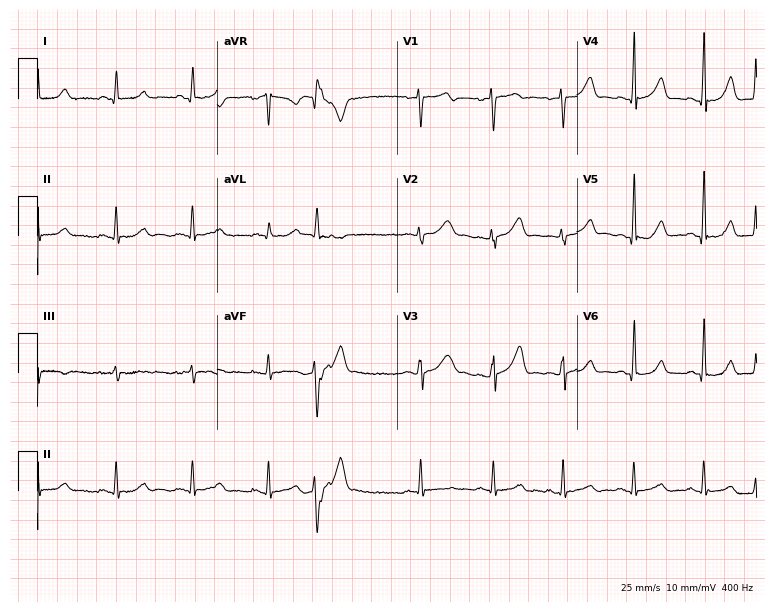
Electrocardiogram (7.3-second recording at 400 Hz), a female patient, 28 years old. Of the six screened findings (first-degree AV block, right bundle branch block (RBBB), left bundle branch block (LBBB), sinus bradycardia, atrial fibrillation (AF), sinus tachycardia), none is recorded. Other findings, if any, are not listed.